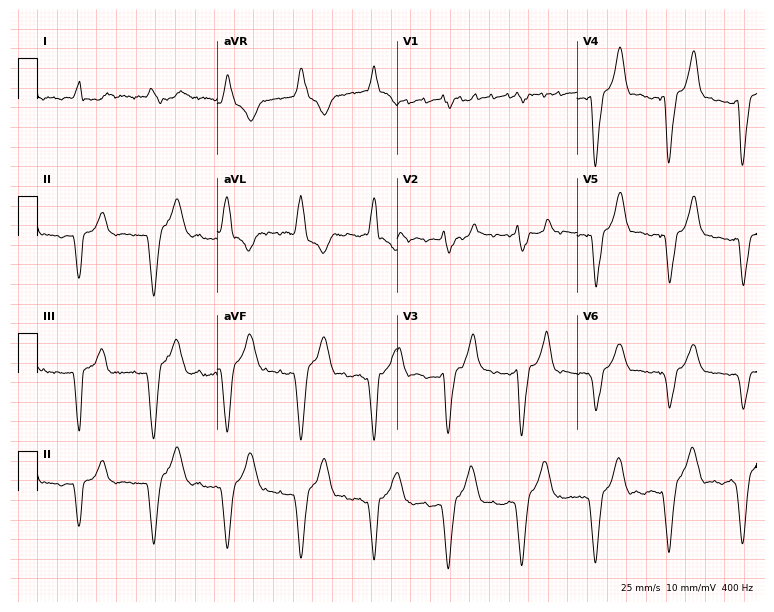
Resting 12-lead electrocardiogram (7.3-second recording at 400 Hz). Patient: a 62-year-old man. The tracing shows left bundle branch block.